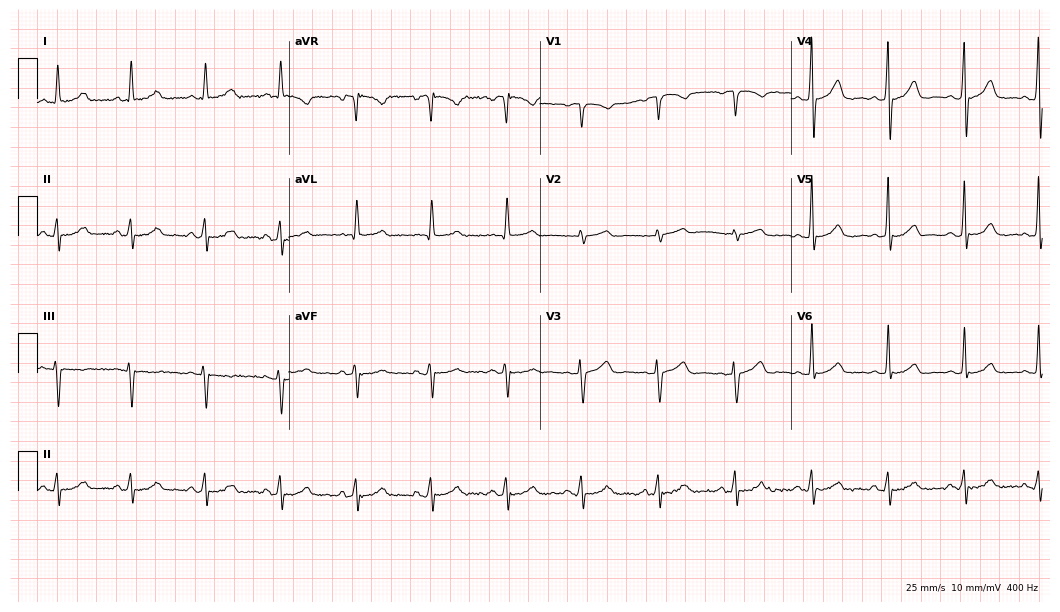
12-lead ECG from a 55-year-old woman. Recorded interpretation: within normal limits.